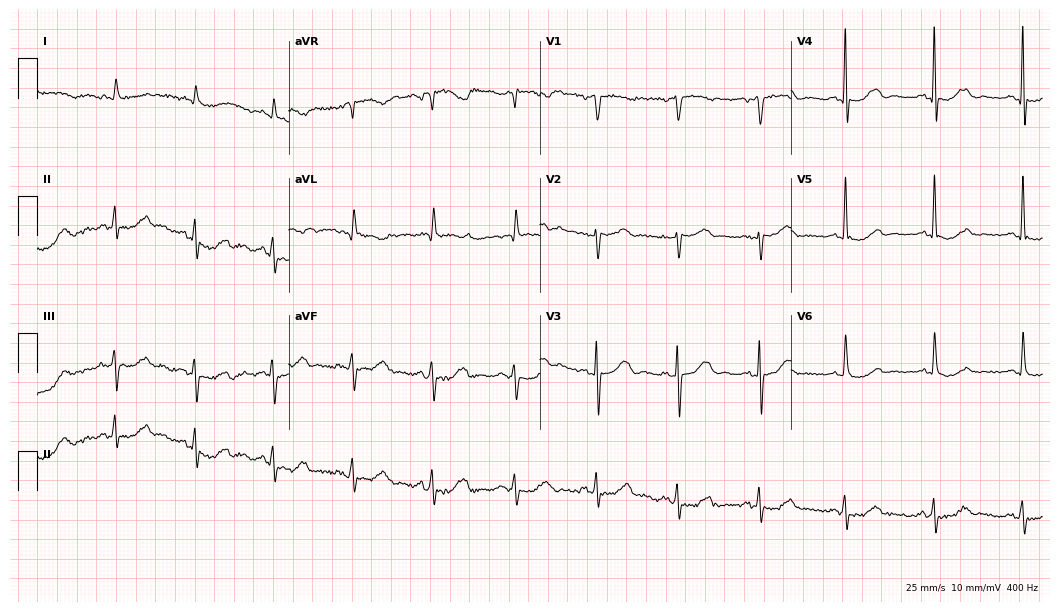
Resting 12-lead electrocardiogram (10.2-second recording at 400 Hz). Patient: an 84-year-old woman. None of these six findings is recorded: first-degree AV block, right bundle branch block, left bundle branch block, sinus bradycardia, atrial fibrillation, sinus tachycardia. Only these six findings were labelled.